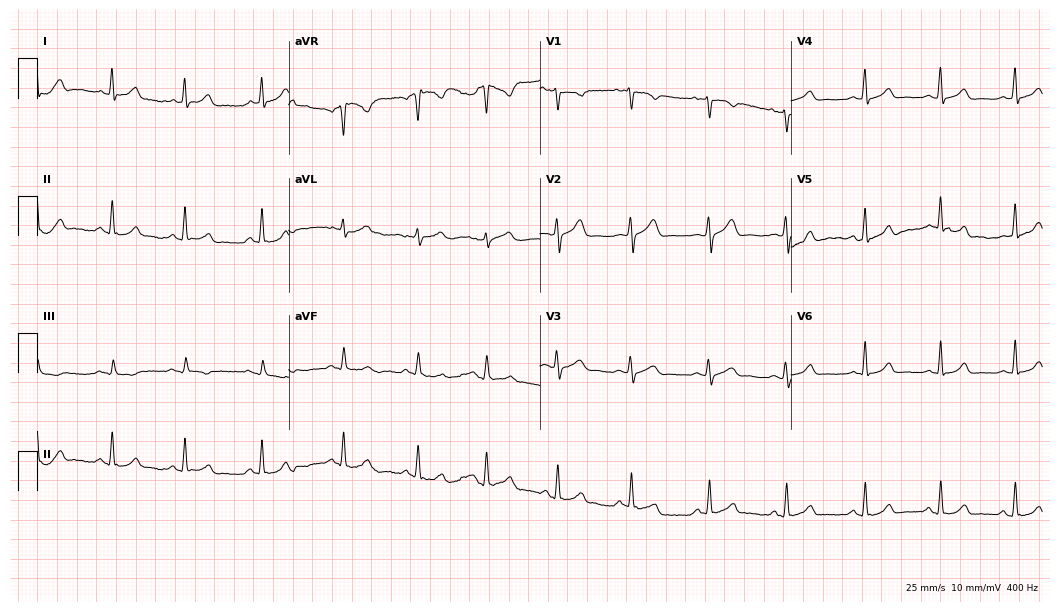
12-lead ECG from a female, 26 years old. No first-degree AV block, right bundle branch block, left bundle branch block, sinus bradycardia, atrial fibrillation or sinus tachycardia recorded for this tracing. Findings outside these six are not listed.